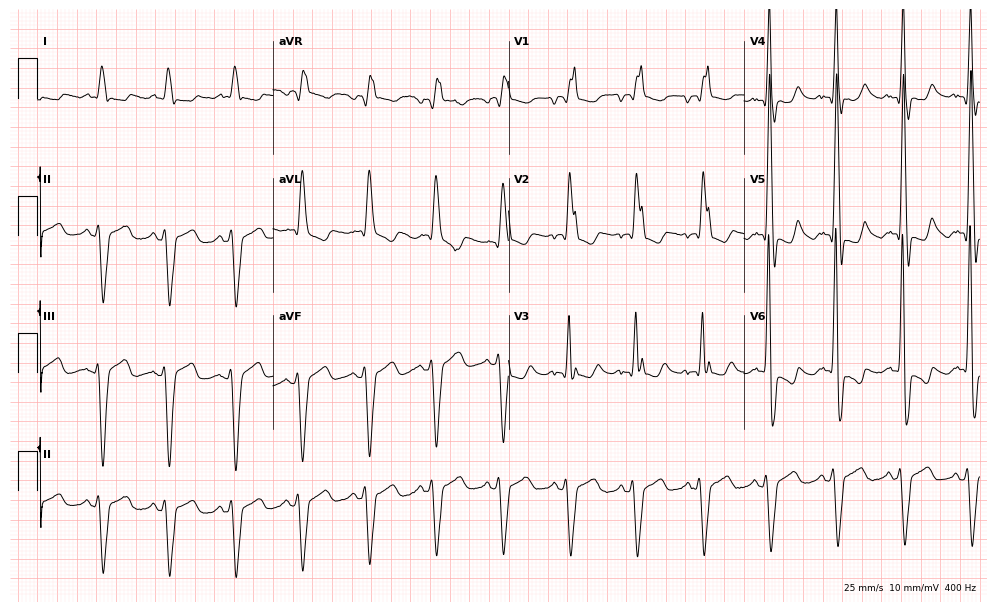
12-lead ECG (9.6-second recording at 400 Hz) from an 85-year-old male patient. Findings include right bundle branch block.